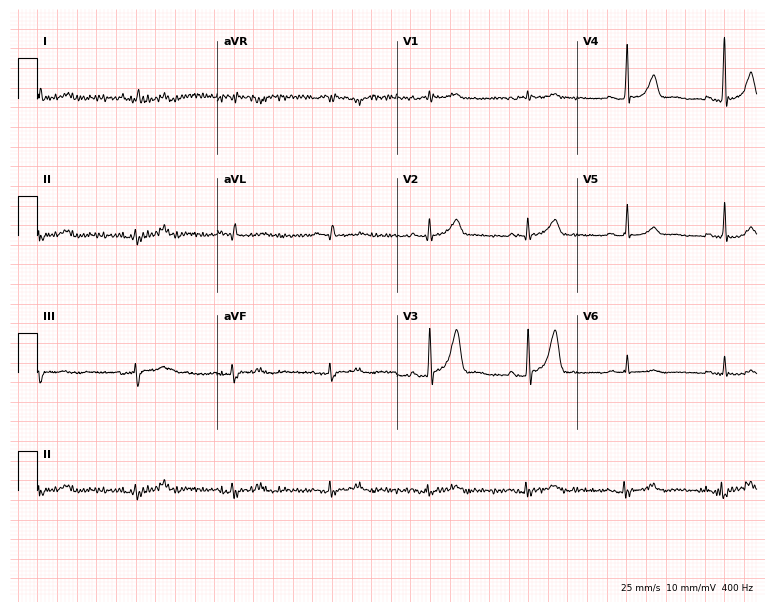
12-lead ECG from a 77-year-old male patient. Recorded interpretation: within normal limits.